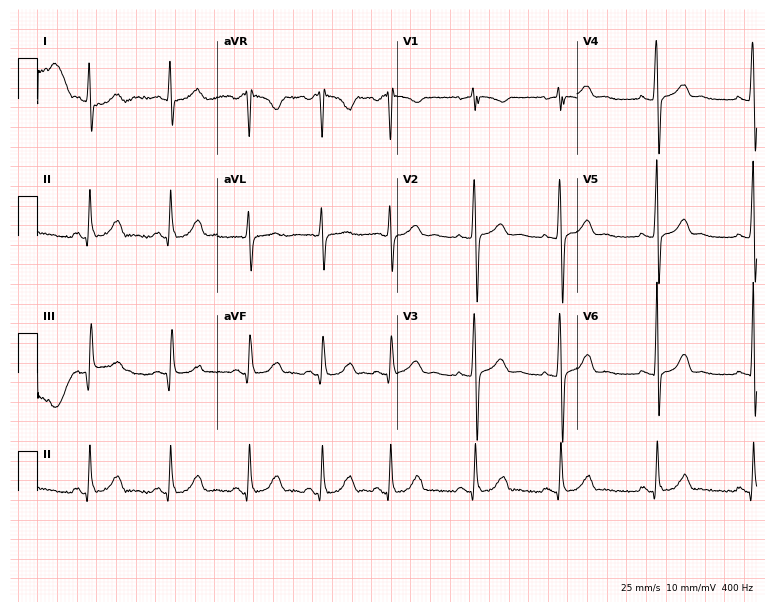
12-lead ECG from a female, 31 years old. No first-degree AV block, right bundle branch block, left bundle branch block, sinus bradycardia, atrial fibrillation or sinus tachycardia recorded for this tracing. Other findings, if any, are not listed.